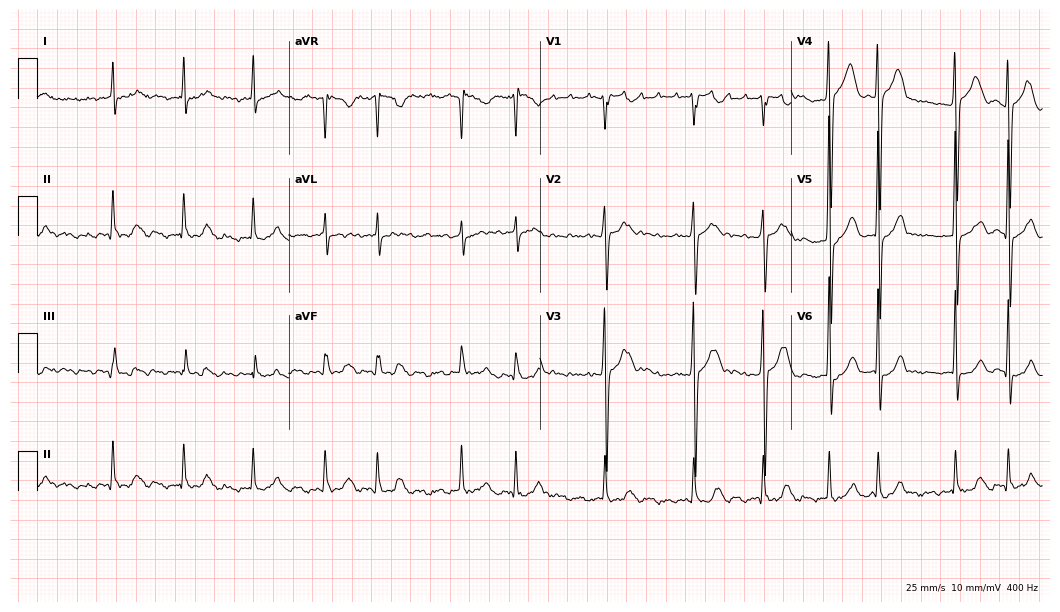
Resting 12-lead electrocardiogram (10.2-second recording at 400 Hz). Patient: a 72-year-old male. Read as a normal ECG.